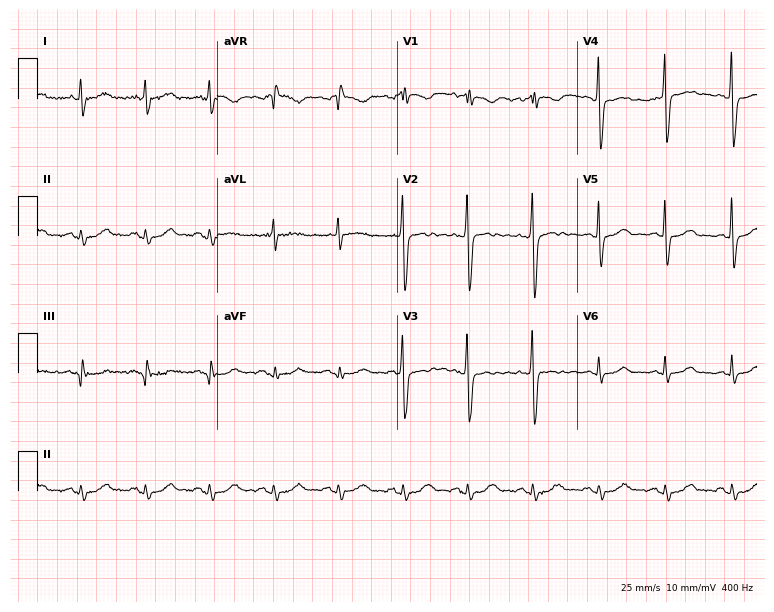
12-lead ECG from a man, 64 years old. Screened for six findings — first-degree AV block, right bundle branch block, left bundle branch block, sinus bradycardia, atrial fibrillation, sinus tachycardia — none is recorded. Findings outside these six are not listed.